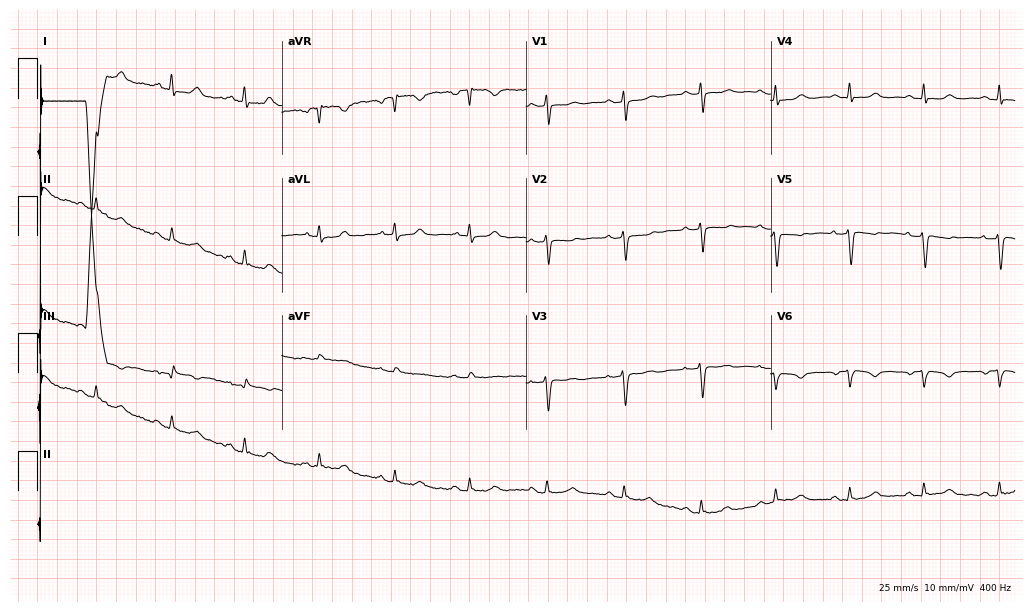
Electrocardiogram, a female patient, 61 years old. Of the six screened findings (first-degree AV block, right bundle branch block (RBBB), left bundle branch block (LBBB), sinus bradycardia, atrial fibrillation (AF), sinus tachycardia), none is recorded. Findings outside these six are not listed.